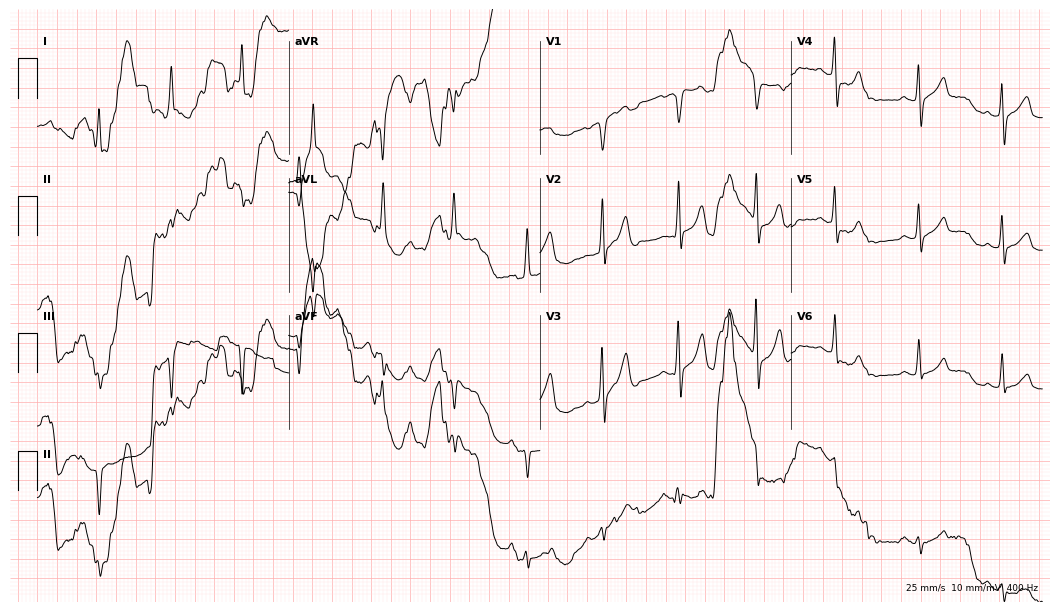
Standard 12-lead ECG recorded from a man, 70 years old (10.2-second recording at 400 Hz). None of these six findings is recorded: first-degree AV block, right bundle branch block, left bundle branch block, sinus bradycardia, atrial fibrillation, sinus tachycardia.